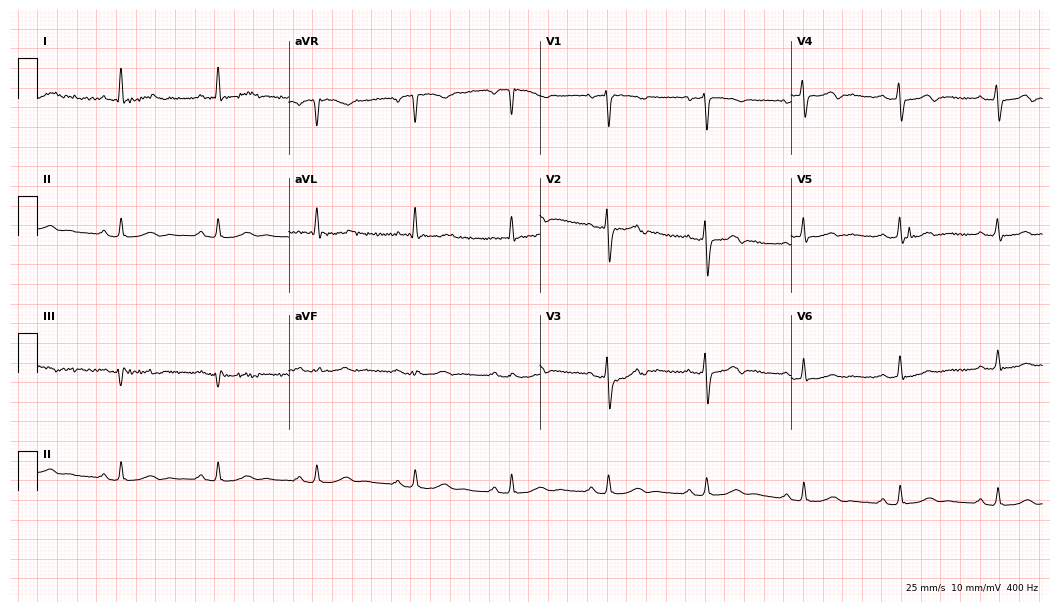
12-lead ECG from a female patient, 62 years old (10.2-second recording at 400 Hz). No first-degree AV block, right bundle branch block, left bundle branch block, sinus bradycardia, atrial fibrillation or sinus tachycardia recorded for this tracing. Other findings, if any, are not listed.